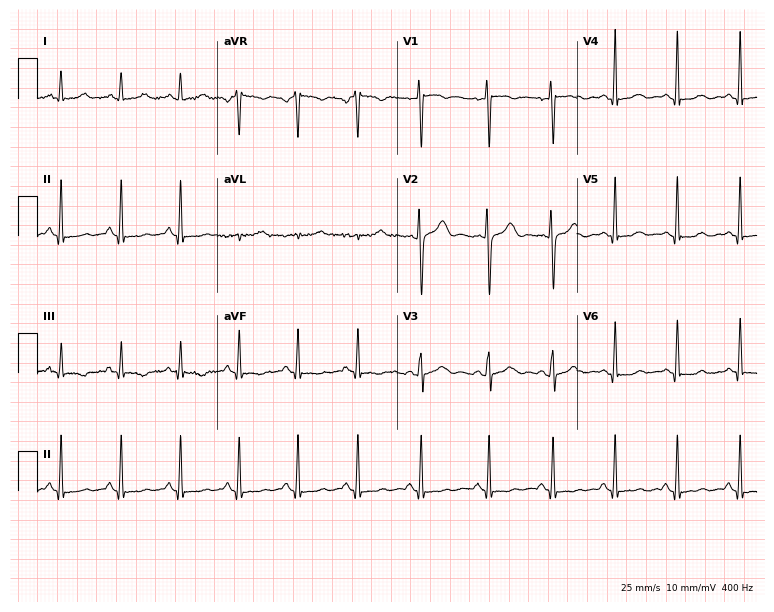
ECG — a 27-year-old female patient. Screened for six findings — first-degree AV block, right bundle branch block, left bundle branch block, sinus bradycardia, atrial fibrillation, sinus tachycardia — none is recorded. Other findings, if any, are not listed.